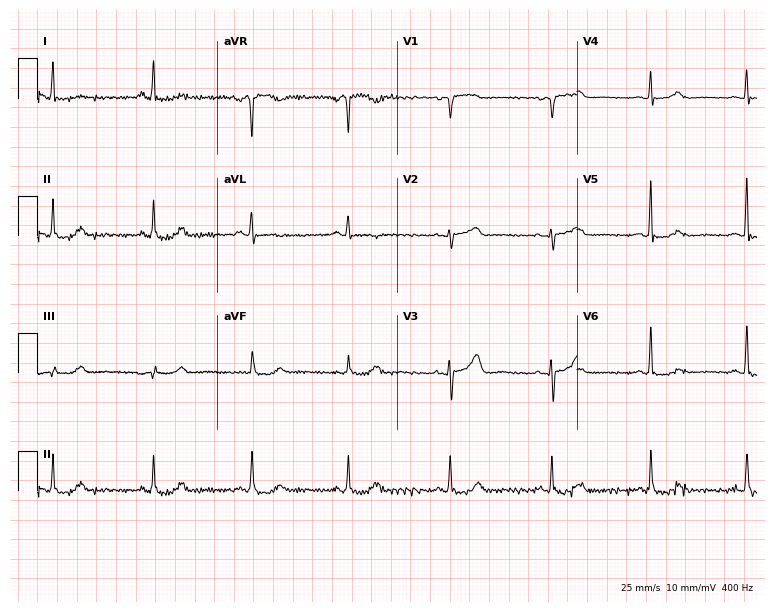
ECG (7.3-second recording at 400 Hz) — a female, 75 years old. Screened for six findings — first-degree AV block, right bundle branch block, left bundle branch block, sinus bradycardia, atrial fibrillation, sinus tachycardia — none is recorded. Findings outside these six are not listed.